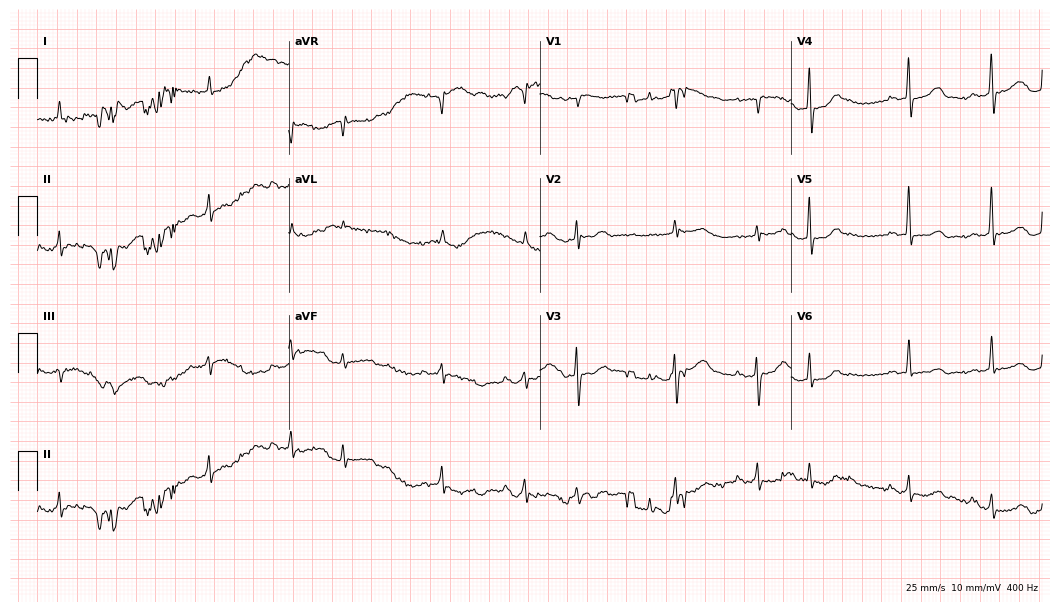
Standard 12-lead ECG recorded from an 80-year-old female patient (10.2-second recording at 400 Hz). None of these six findings is recorded: first-degree AV block, right bundle branch block (RBBB), left bundle branch block (LBBB), sinus bradycardia, atrial fibrillation (AF), sinus tachycardia. Other findings, if any, are not listed.